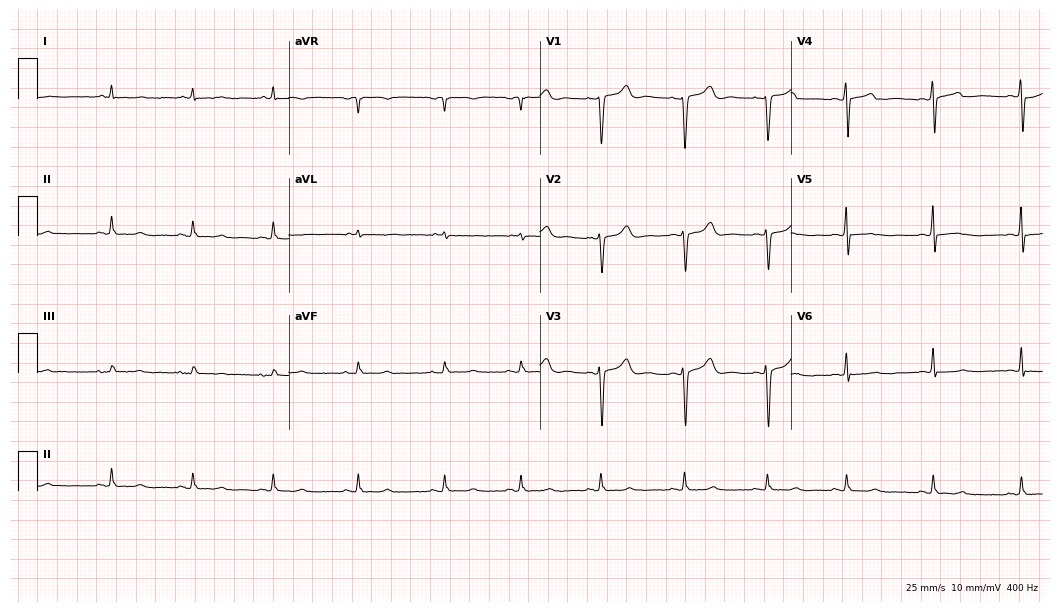
Resting 12-lead electrocardiogram. Patient: a woman, 26 years old. None of these six findings is recorded: first-degree AV block, right bundle branch block, left bundle branch block, sinus bradycardia, atrial fibrillation, sinus tachycardia.